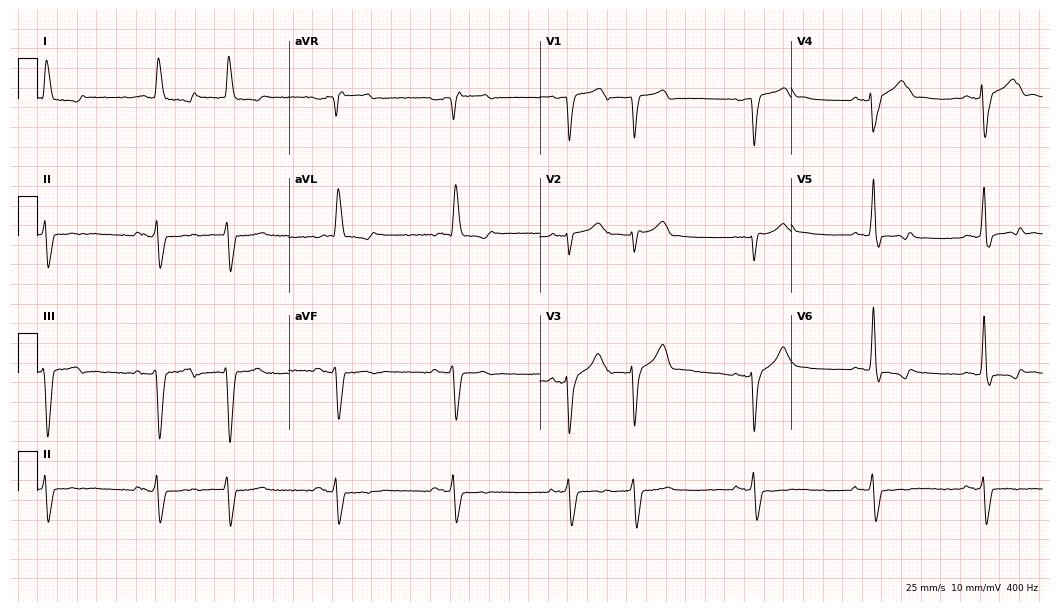
12-lead ECG (10.2-second recording at 400 Hz) from a 77-year-old male. Screened for six findings — first-degree AV block, right bundle branch block (RBBB), left bundle branch block (LBBB), sinus bradycardia, atrial fibrillation (AF), sinus tachycardia — none is recorded.